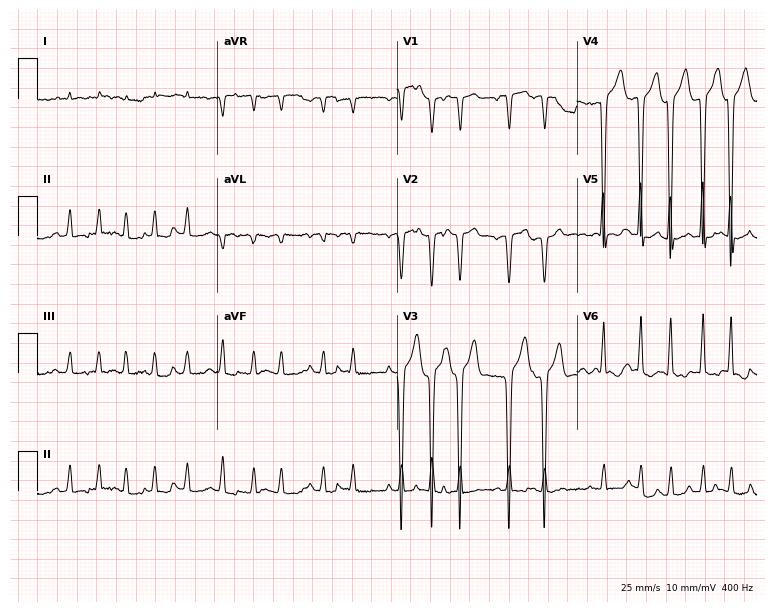
12-lead ECG from an 84-year-old man (7.3-second recording at 400 Hz). Shows sinus tachycardia (a sinus rate of 100 beats per minute or more).